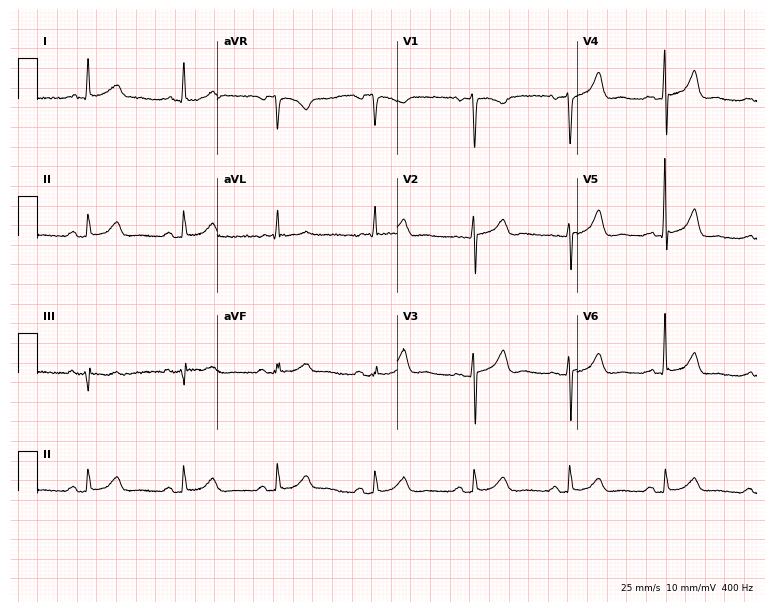
Electrocardiogram (7.3-second recording at 400 Hz), a woman, 69 years old. Overall reading on record: normal ECG.